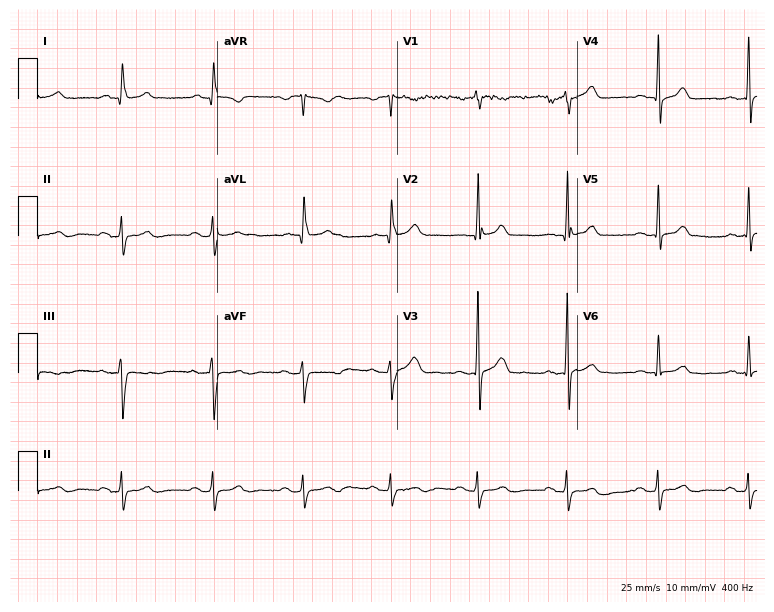
12-lead ECG from a man, 43 years old. Labelled as a normal ECG.